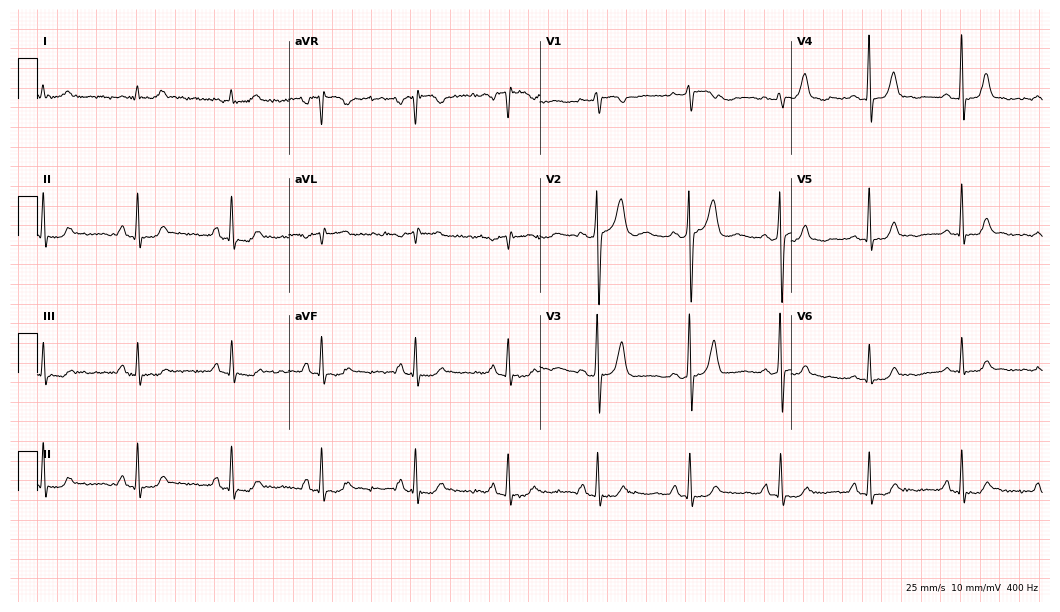
12-lead ECG from a male, 73 years old (10.2-second recording at 400 Hz). No first-degree AV block, right bundle branch block (RBBB), left bundle branch block (LBBB), sinus bradycardia, atrial fibrillation (AF) or sinus tachycardia recorded for this tracing.